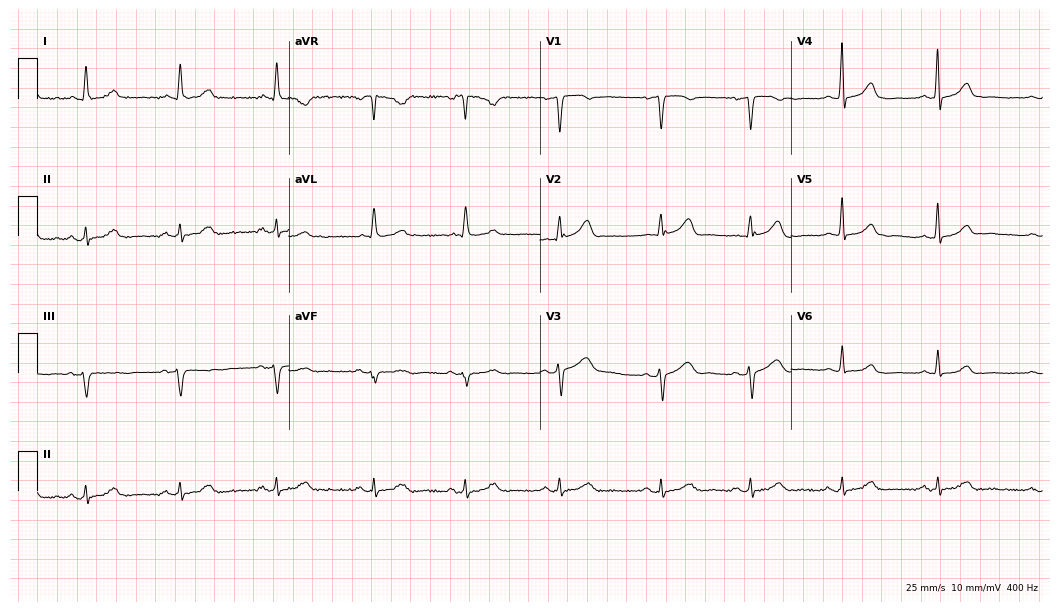
Electrocardiogram, a female, 44 years old. Overall reading on record: normal ECG.